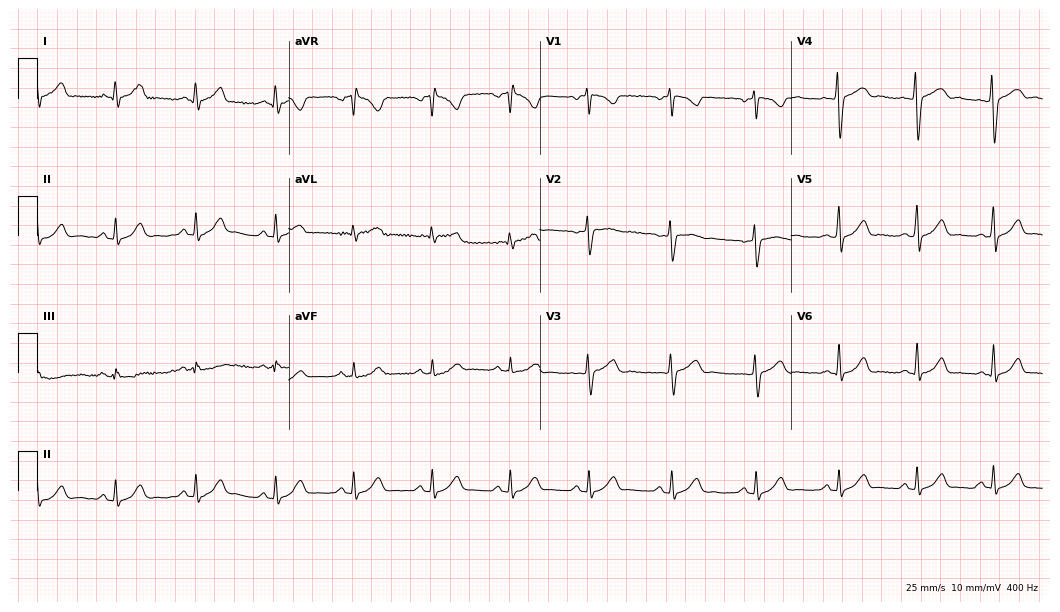
Resting 12-lead electrocardiogram (10.2-second recording at 400 Hz). Patient: a 26-year-old female. Read as a normal ECG.